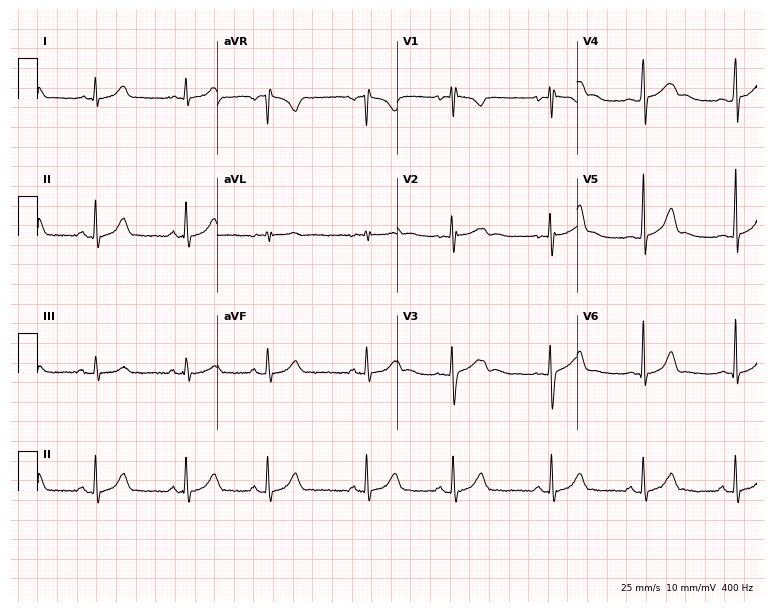
ECG (7.3-second recording at 400 Hz) — a female, 18 years old. Labelled as a normal ECG.